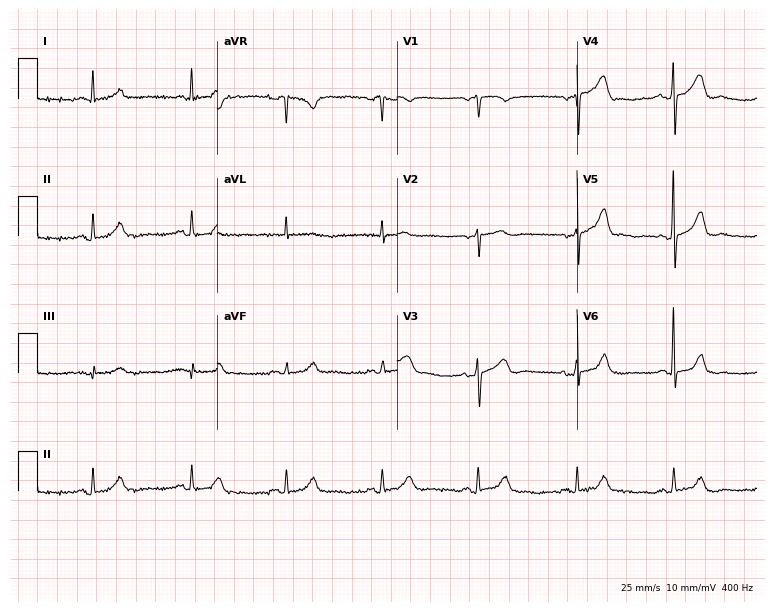
Resting 12-lead electrocardiogram (7.3-second recording at 400 Hz). Patient: a 79-year-old woman. Read as a normal ECG.